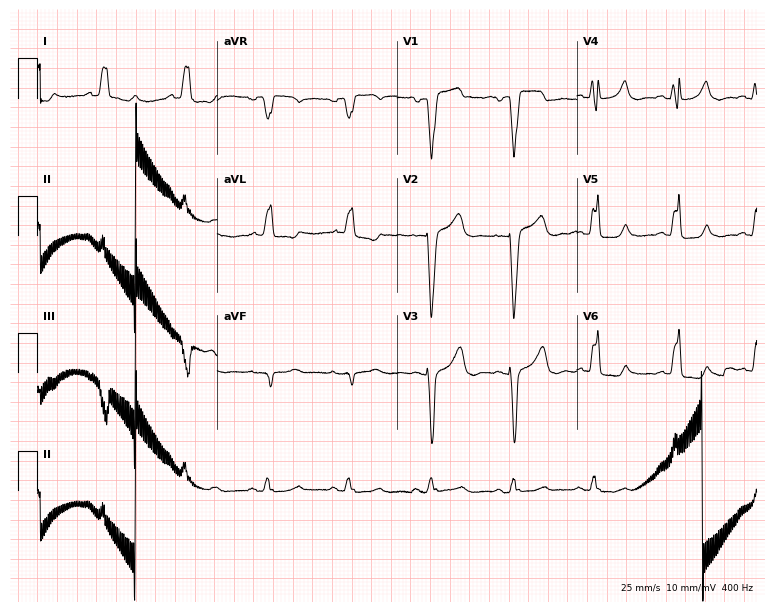
Electrocardiogram (7.3-second recording at 400 Hz), a woman, 78 years old. Interpretation includes left bundle branch block (LBBB).